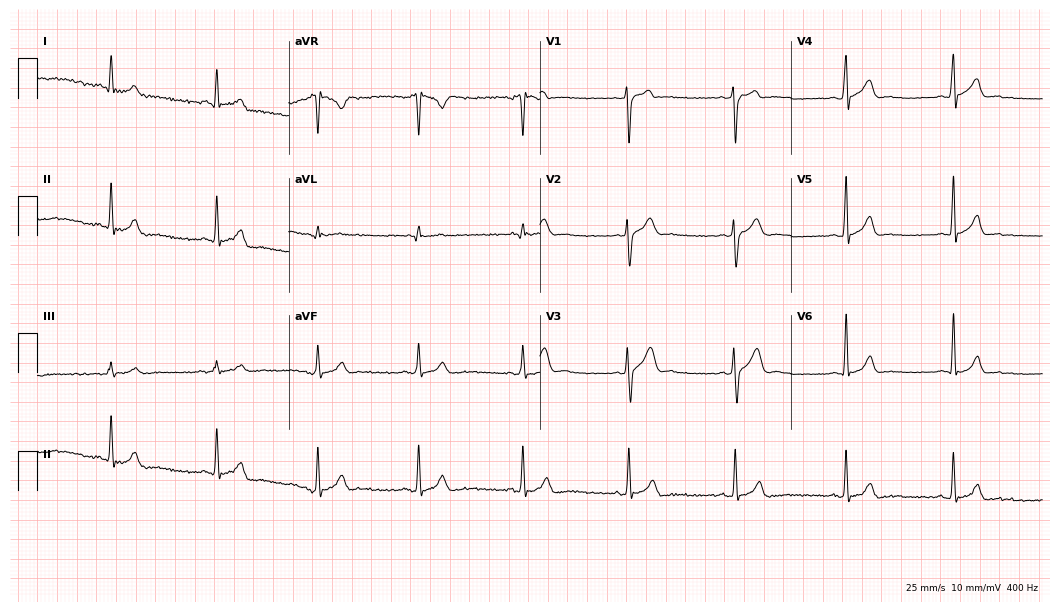
12-lead ECG from a man, 25 years old. No first-degree AV block, right bundle branch block (RBBB), left bundle branch block (LBBB), sinus bradycardia, atrial fibrillation (AF) or sinus tachycardia recorded for this tracing. Findings outside these six are not listed.